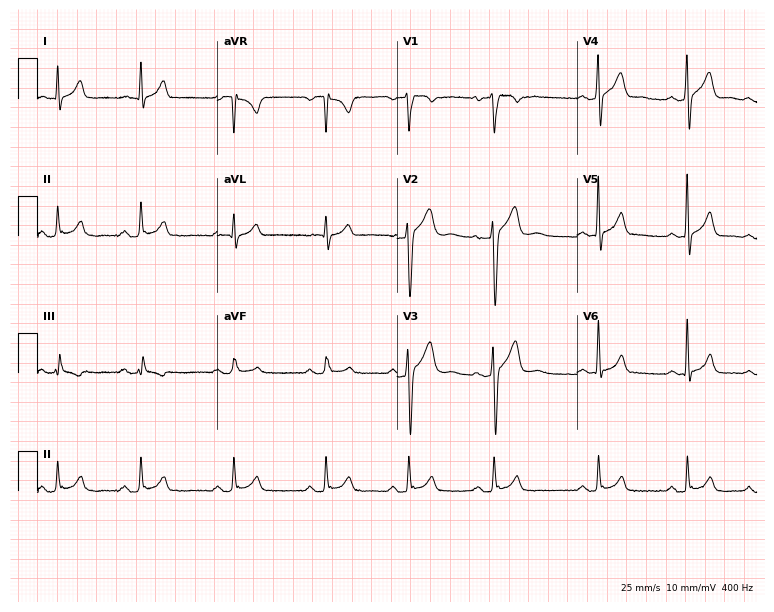
ECG (7.3-second recording at 400 Hz) — a woman, 25 years old. Labelled as a normal ECG.